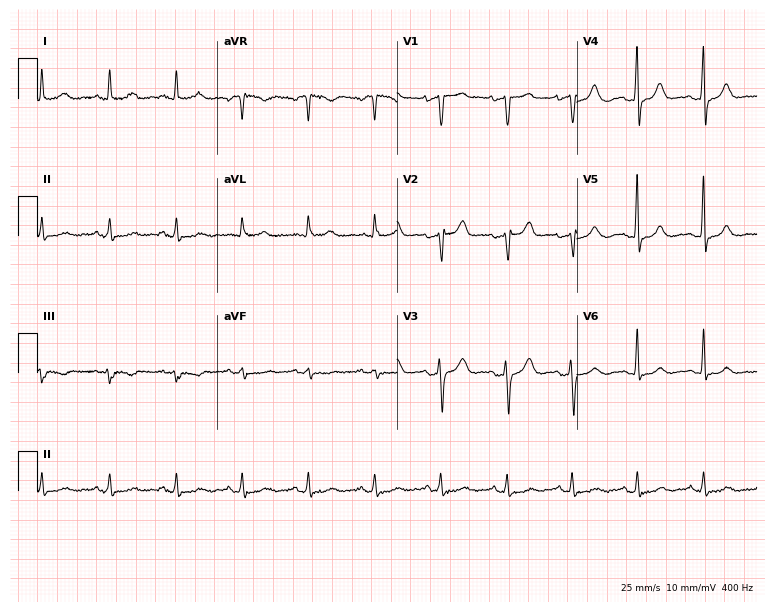
Standard 12-lead ECG recorded from a 56-year-old female. None of these six findings is recorded: first-degree AV block, right bundle branch block, left bundle branch block, sinus bradycardia, atrial fibrillation, sinus tachycardia. Only these six findings were labelled.